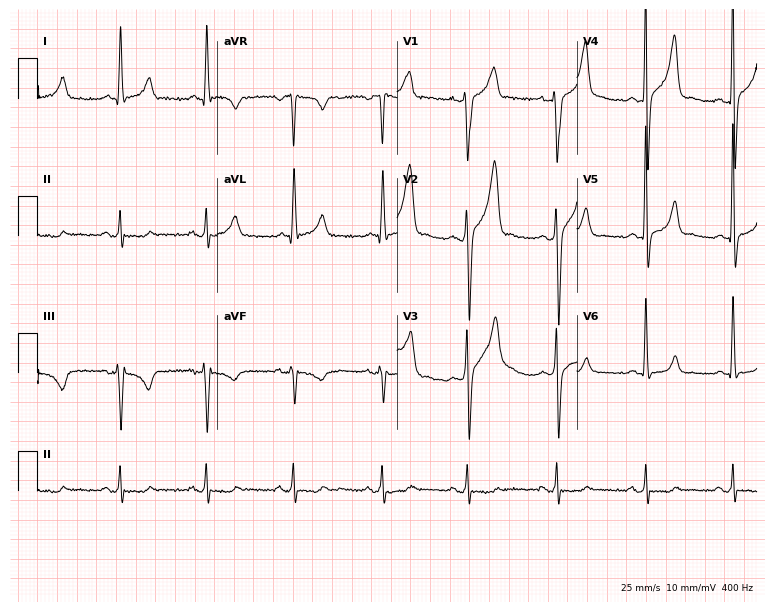
12-lead ECG from a 36-year-old male (7.3-second recording at 400 Hz). No first-degree AV block, right bundle branch block, left bundle branch block, sinus bradycardia, atrial fibrillation or sinus tachycardia recorded for this tracing. Only these six findings were labelled.